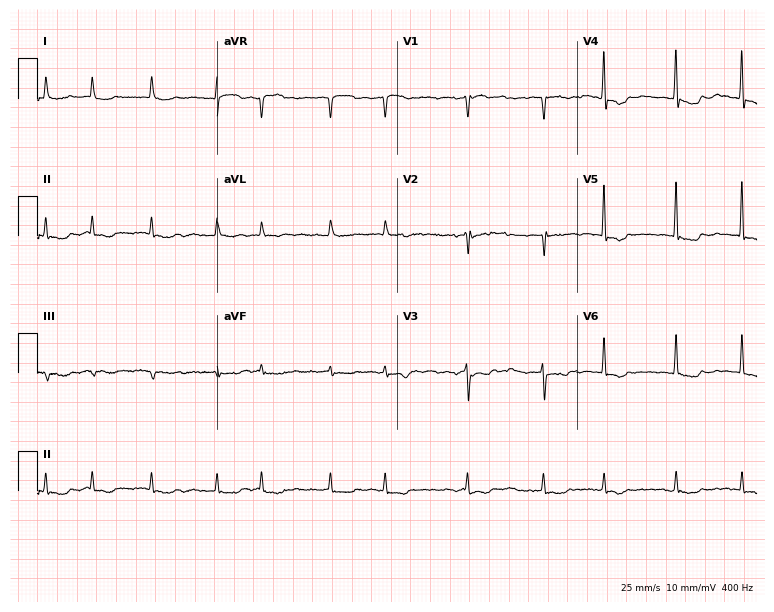
12-lead ECG from a 76-year-old female patient. Shows atrial fibrillation.